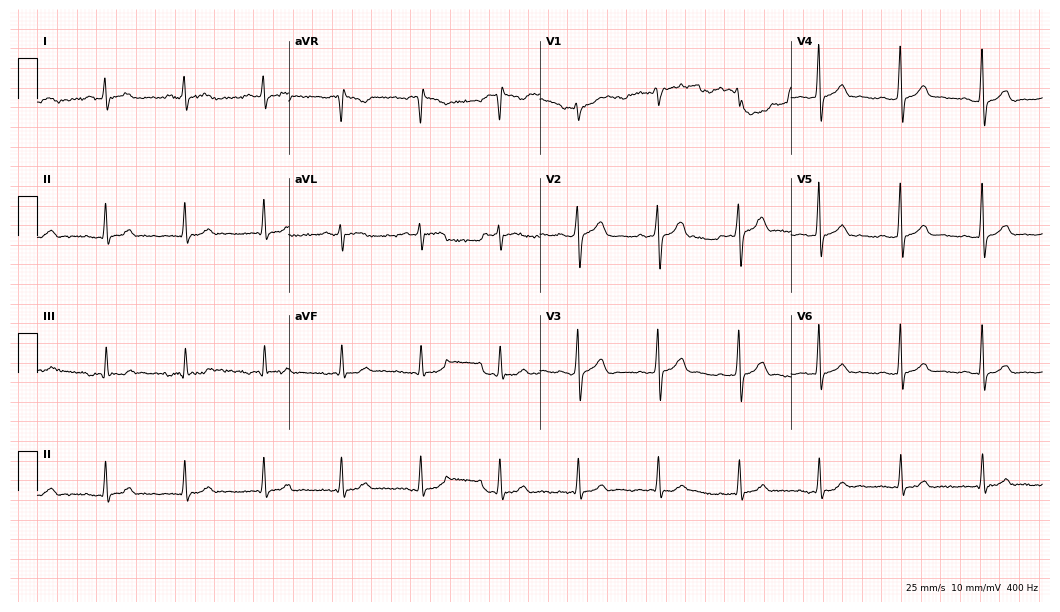
Standard 12-lead ECG recorded from a 47-year-old male. Read as a normal ECG.